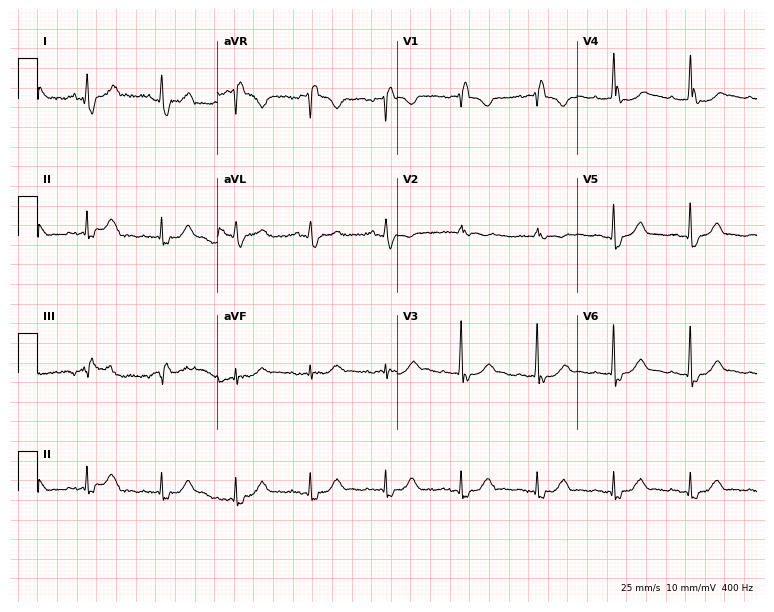
Resting 12-lead electrocardiogram. Patient: a 71-year-old male. The tracing shows right bundle branch block.